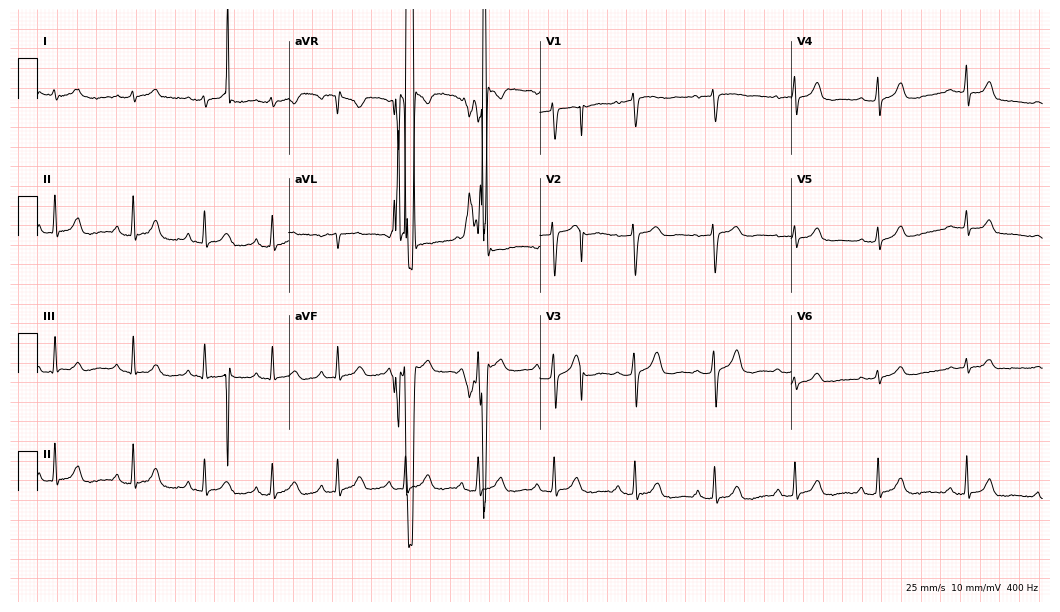
Resting 12-lead electrocardiogram. Patient: a female, 20 years old. None of these six findings is recorded: first-degree AV block, right bundle branch block, left bundle branch block, sinus bradycardia, atrial fibrillation, sinus tachycardia. Findings outside these six are not listed.